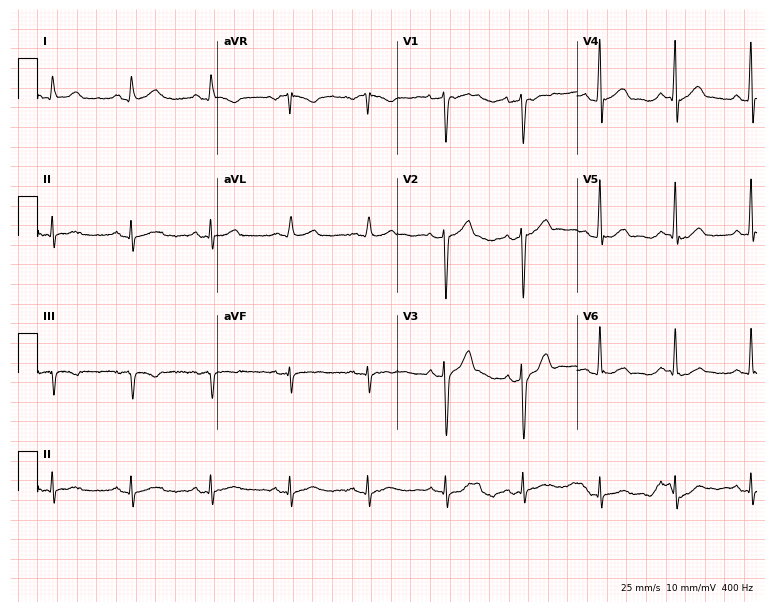
Standard 12-lead ECG recorded from a 45-year-old male (7.3-second recording at 400 Hz). None of these six findings is recorded: first-degree AV block, right bundle branch block, left bundle branch block, sinus bradycardia, atrial fibrillation, sinus tachycardia. Other findings, if any, are not listed.